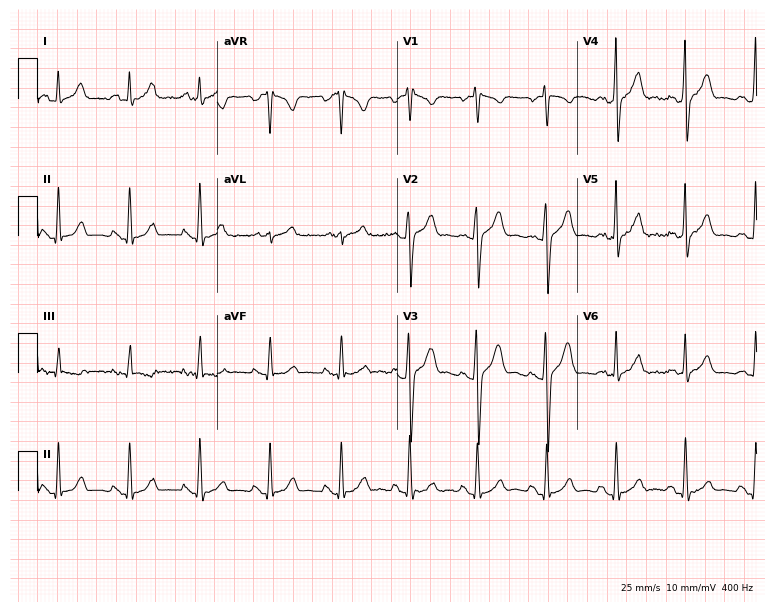
ECG (7.3-second recording at 400 Hz) — a man, 21 years old. Labelled as a normal ECG.